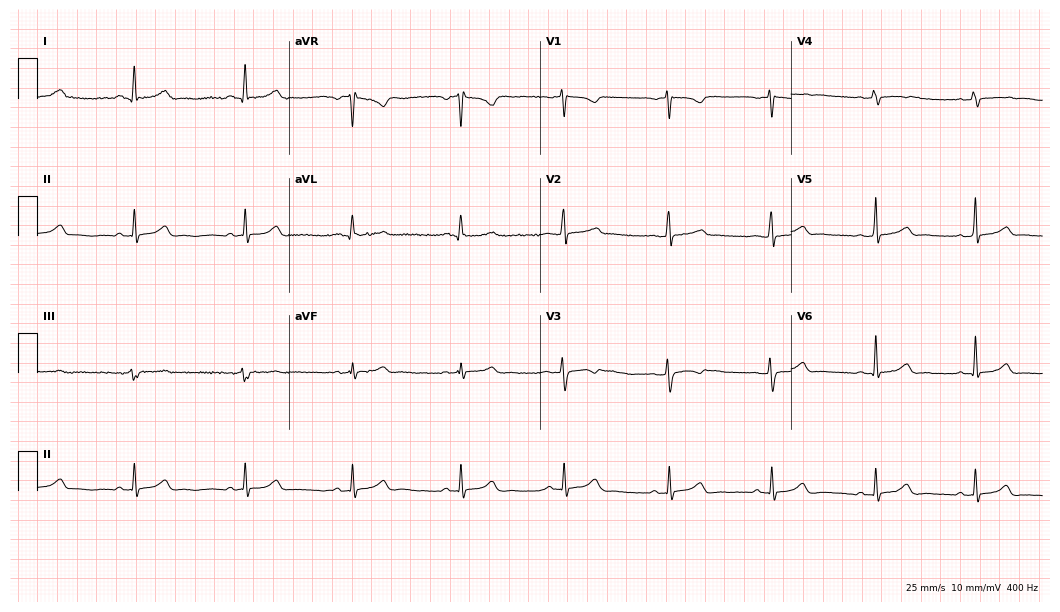
Resting 12-lead electrocardiogram (10.2-second recording at 400 Hz). Patient: a 23-year-old female. Read as a normal ECG.